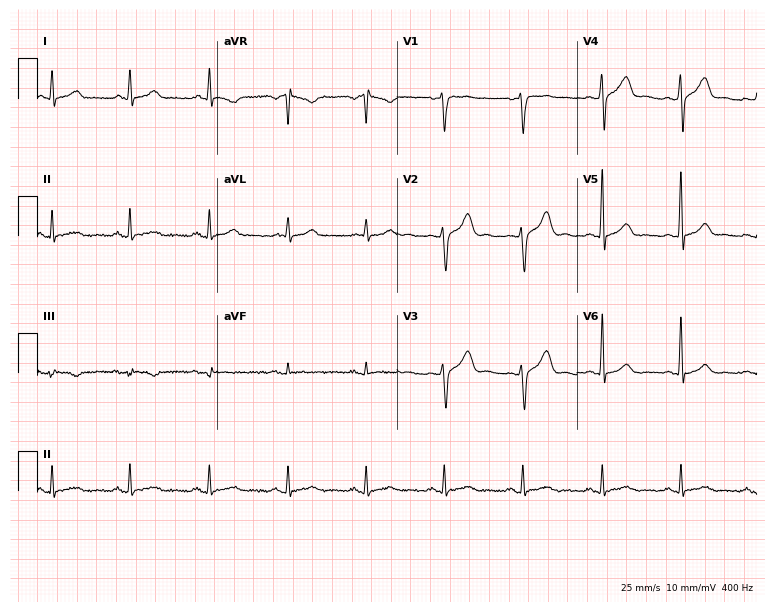
Standard 12-lead ECG recorded from a male patient, 34 years old (7.3-second recording at 400 Hz). None of these six findings is recorded: first-degree AV block, right bundle branch block, left bundle branch block, sinus bradycardia, atrial fibrillation, sinus tachycardia.